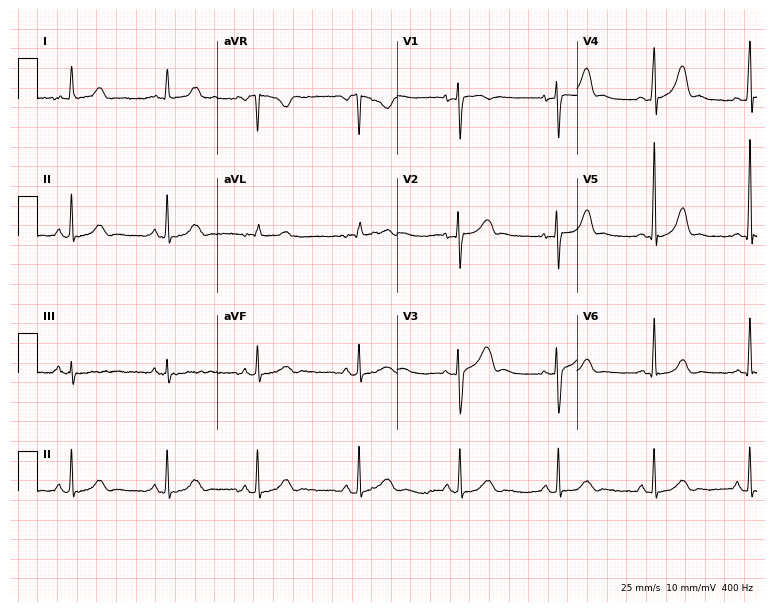
Resting 12-lead electrocardiogram. Patient: a 31-year-old female. Read as a normal ECG.